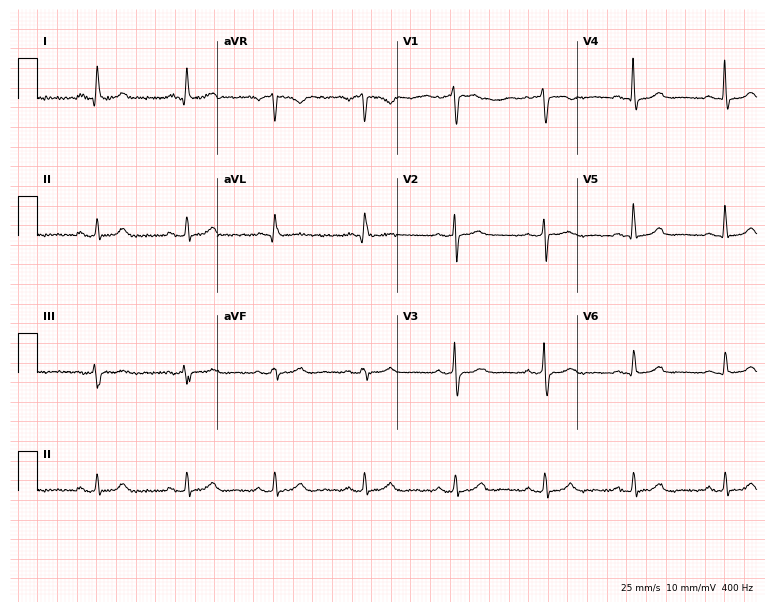
12-lead ECG from a 67-year-old man. Recorded interpretation: within normal limits.